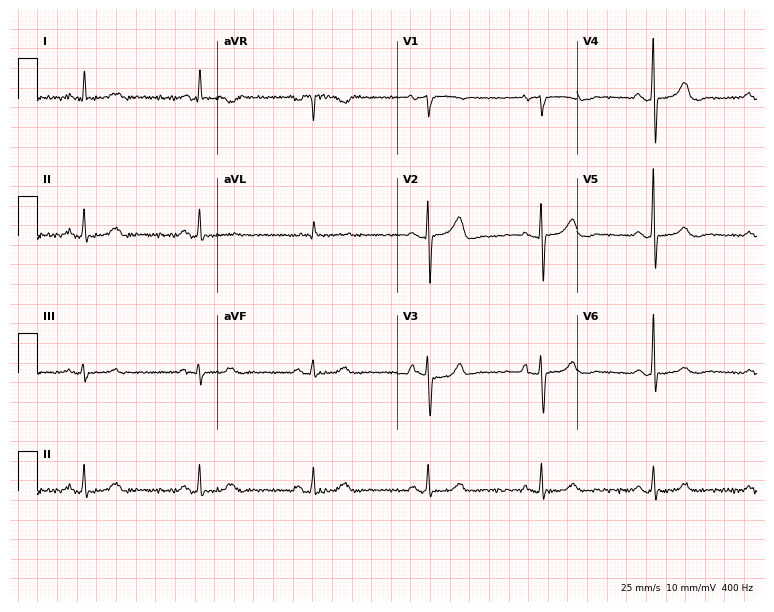
ECG — a woman, 78 years old. Labelled as a normal ECG.